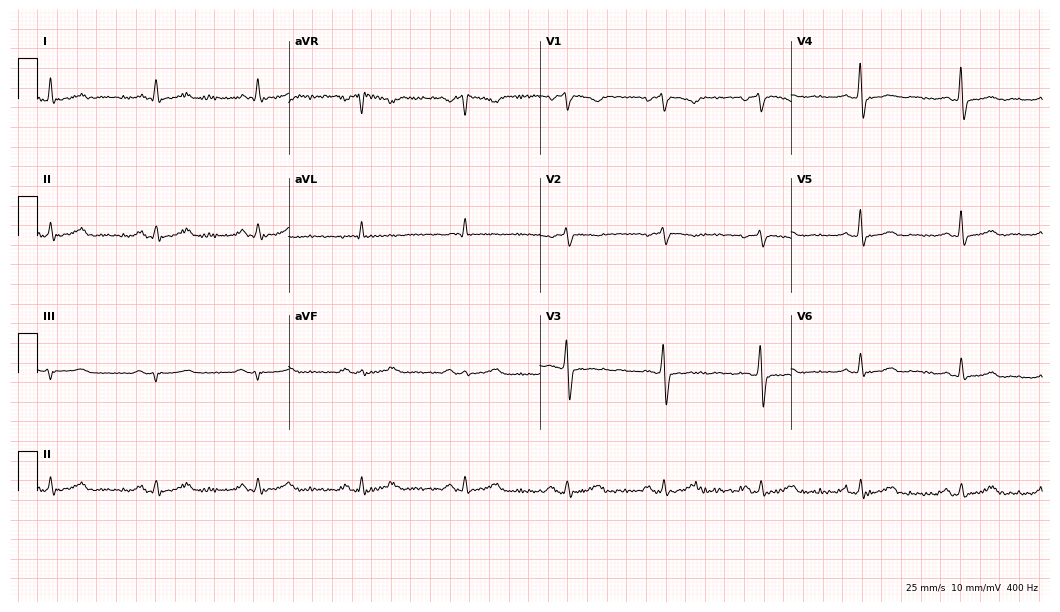
12-lead ECG (10.2-second recording at 400 Hz) from a male, 57 years old. Screened for six findings — first-degree AV block, right bundle branch block, left bundle branch block, sinus bradycardia, atrial fibrillation, sinus tachycardia — none is recorded. Only these six findings were labelled.